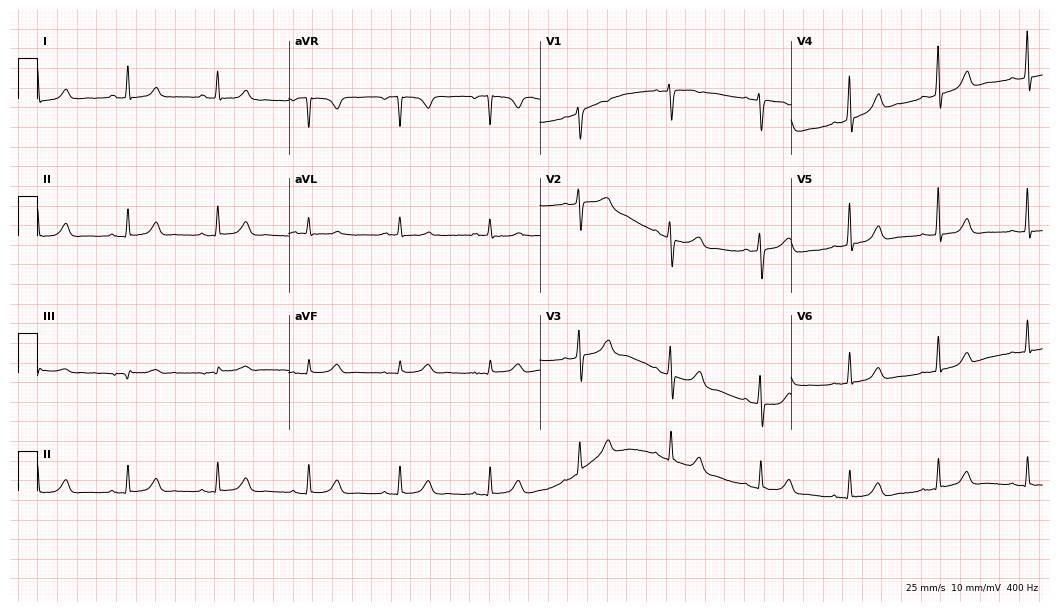
Resting 12-lead electrocardiogram. Patient: a 68-year-old woman. Read as a normal ECG.